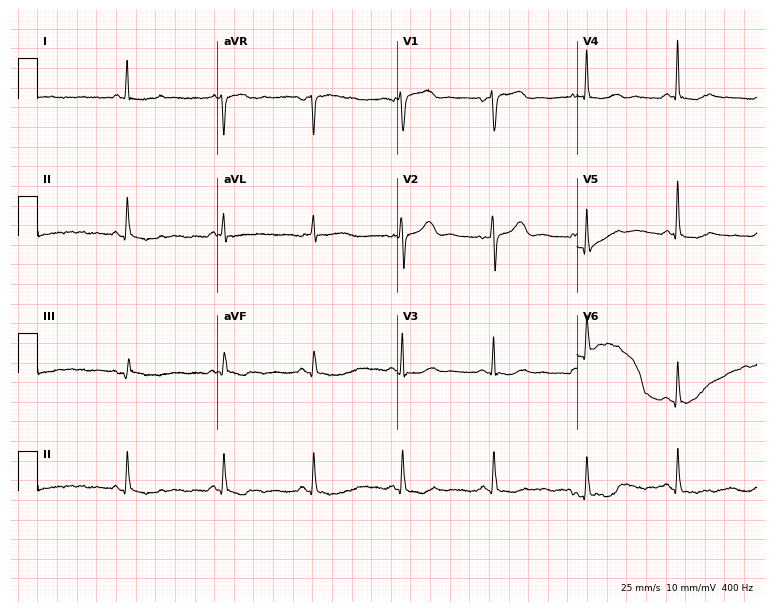
12-lead ECG from a female patient, 85 years old. Labelled as a normal ECG.